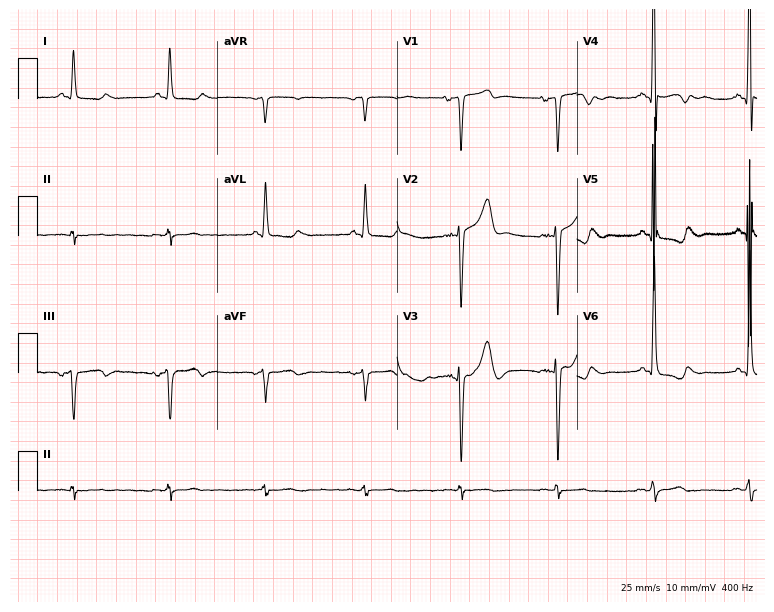
Electrocardiogram, a male patient, 56 years old. Overall reading on record: normal ECG.